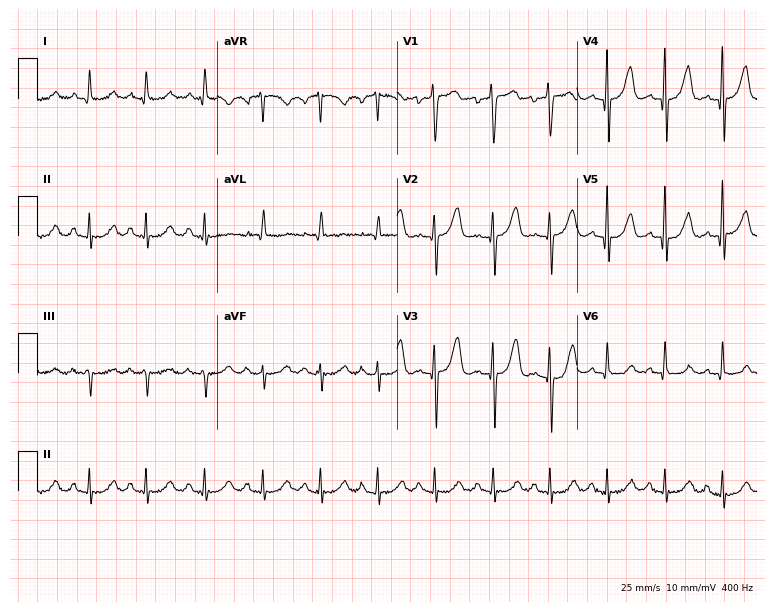
12-lead ECG from a female patient, 66 years old. No first-degree AV block, right bundle branch block, left bundle branch block, sinus bradycardia, atrial fibrillation or sinus tachycardia recorded for this tracing.